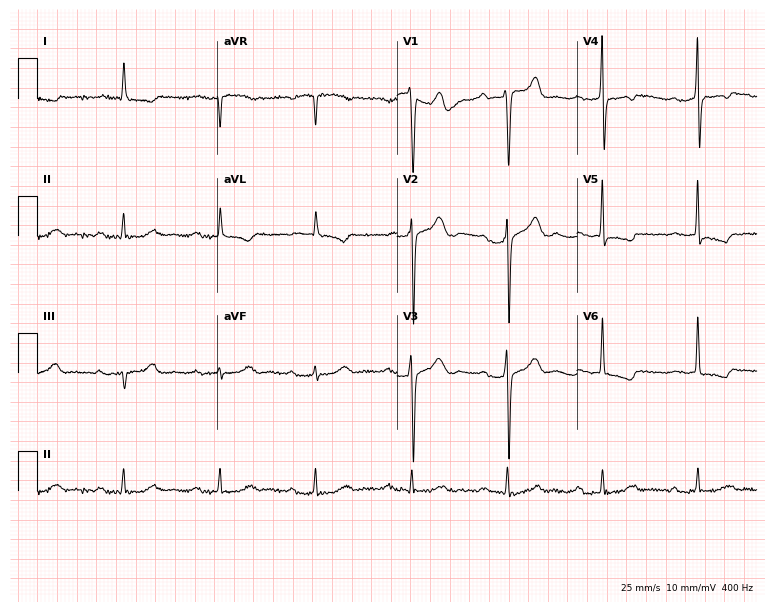
Electrocardiogram (7.3-second recording at 400 Hz), an 85-year-old man. Interpretation includes first-degree AV block.